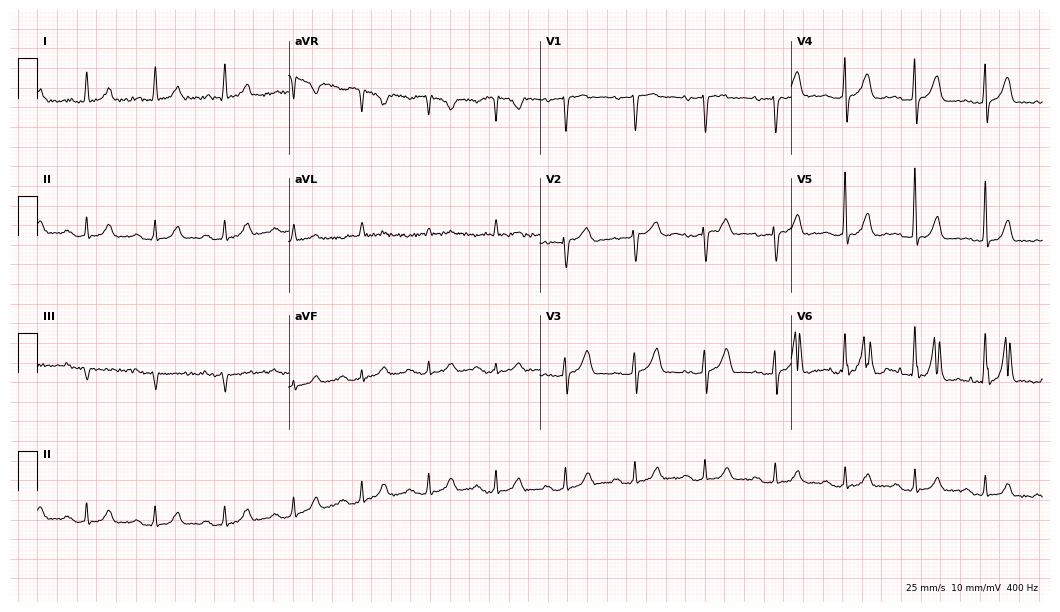
Standard 12-lead ECG recorded from a female, 66 years old. None of these six findings is recorded: first-degree AV block, right bundle branch block, left bundle branch block, sinus bradycardia, atrial fibrillation, sinus tachycardia. Other findings, if any, are not listed.